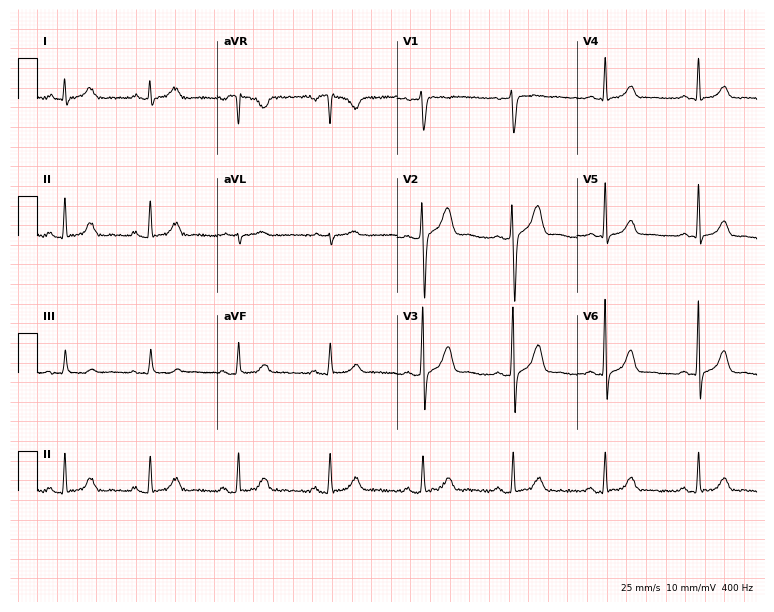
ECG — a 40-year-old male. Labelled as a normal ECG.